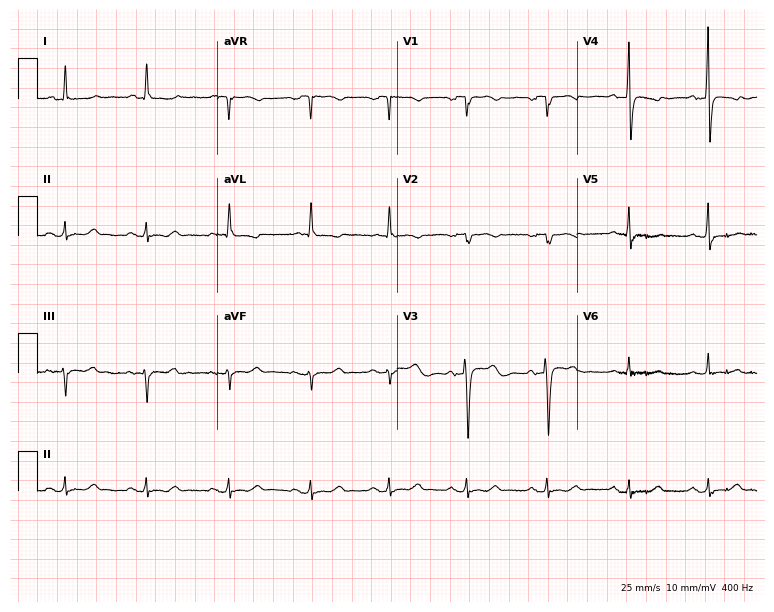
Electrocardiogram, a 62-year-old female. Of the six screened findings (first-degree AV block, right bundle branch block, left bundle branch block, sinus bradycardia, atrial fibrillation, sinus tachycardia), none is recorded.